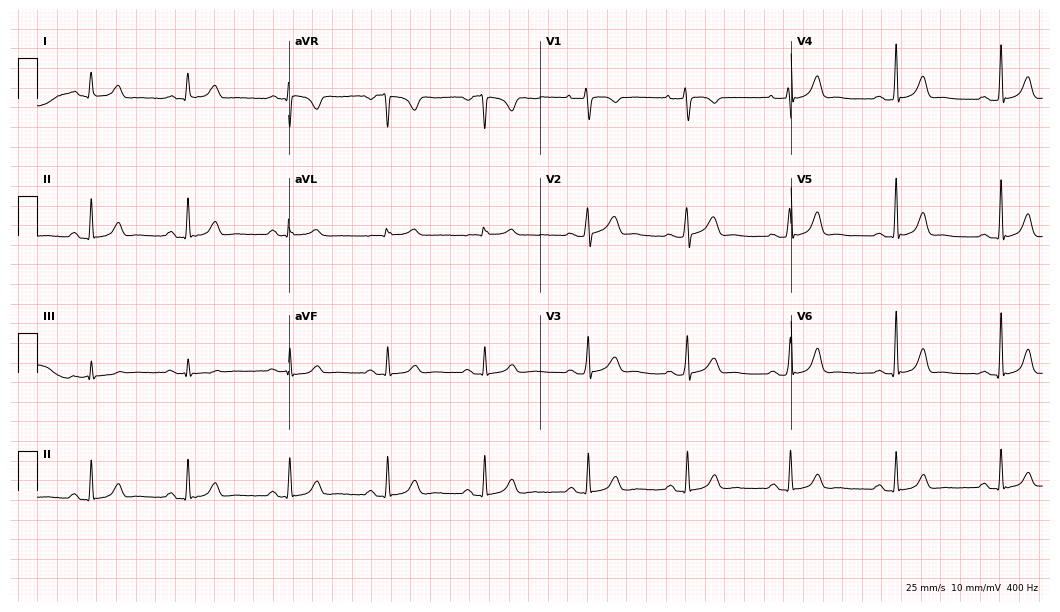
Standard 12-lead ECG recorded from a 34-year-old female patient (10.2-second recording at 400 Hz). None of these six findings is recorded: first-degree AV block, right bundle branch block, left bundle branch block, sinus bradycardia, atrial fibrillation, sinus tachycardia.